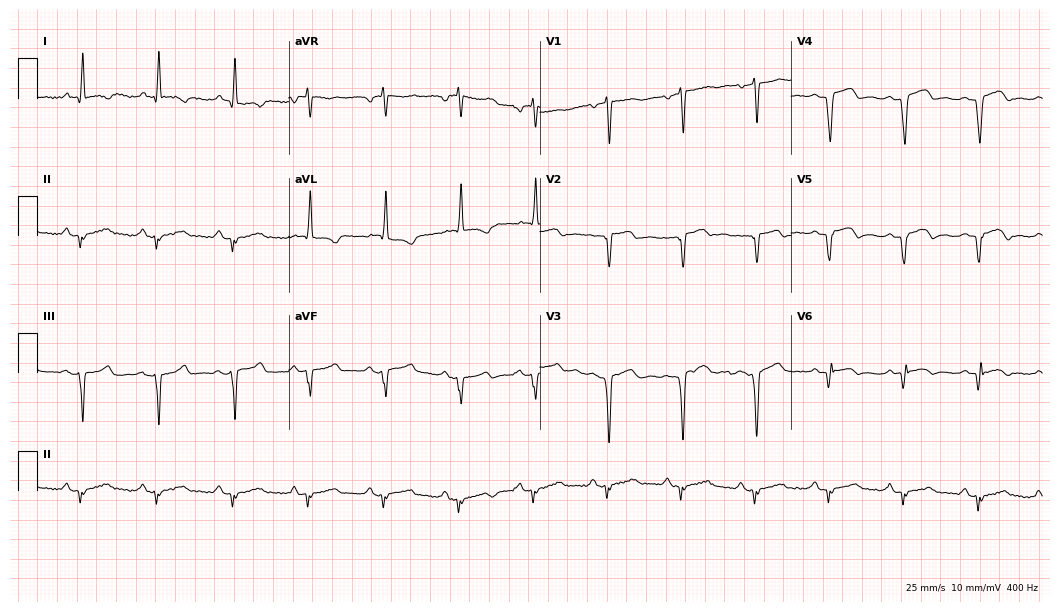
Electrocardiogram, a female, 79 years old. Of the six screened findings (first-degree AV block, right bundle branch block, left bundle branch block, sinus bradycardia, atrial fibrillation, sinus tachycardia), none is recorded.